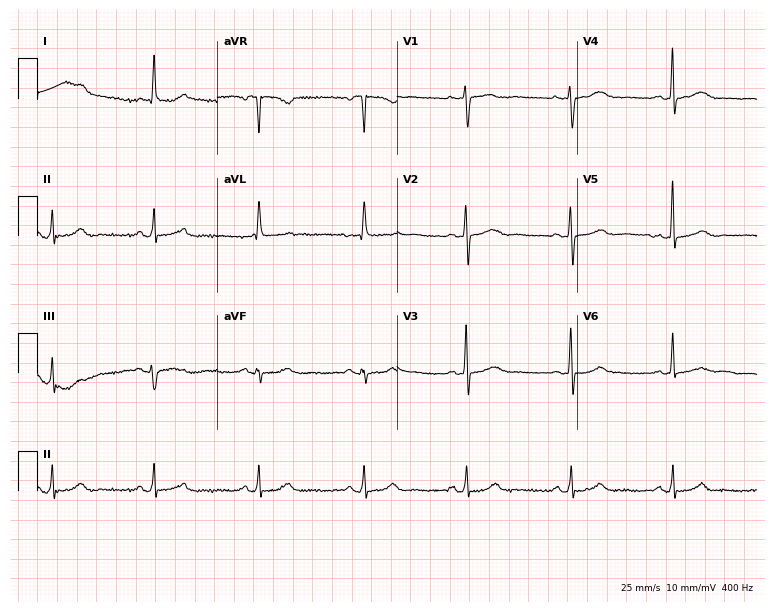
Resting 12-lead electrocardiogram (7.3-second recording at 400 Hz). Patient: a woman, 61 years old. Read as a normal ECG.